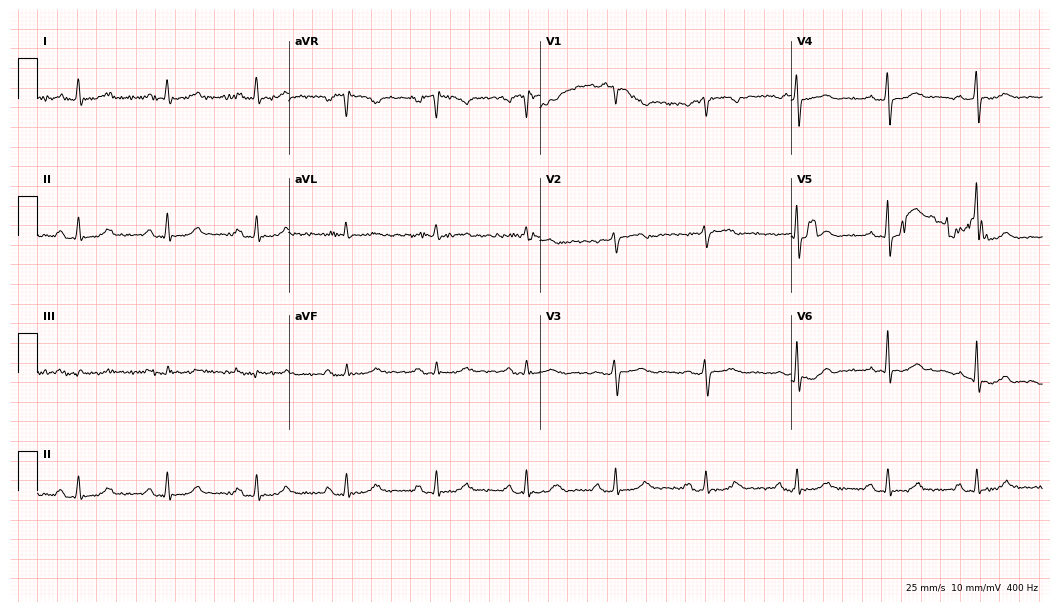
Resting 12-lead electrocardiogram (10.2-second recording at 400 Hz). Patient: a 70-year-old female. Read as a normal ECG.